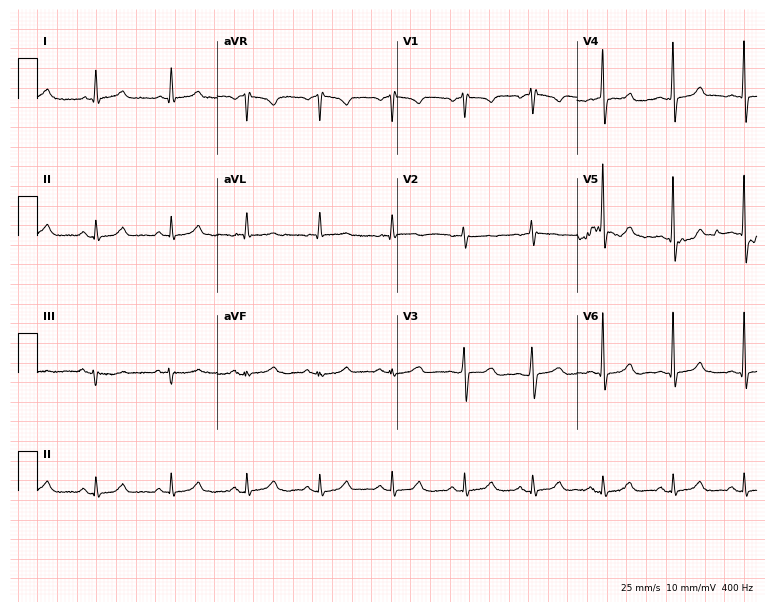
12-lead ECG from a female, 58 years old. Recorded interpretation: within normal limits.